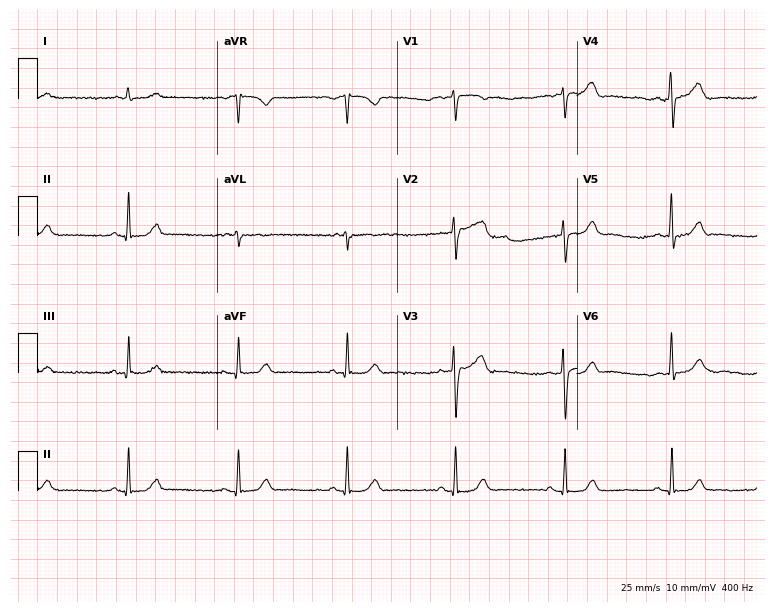
Standard 12-lead ECG recorded from a 75-year-old man. Read as a normal ECG.